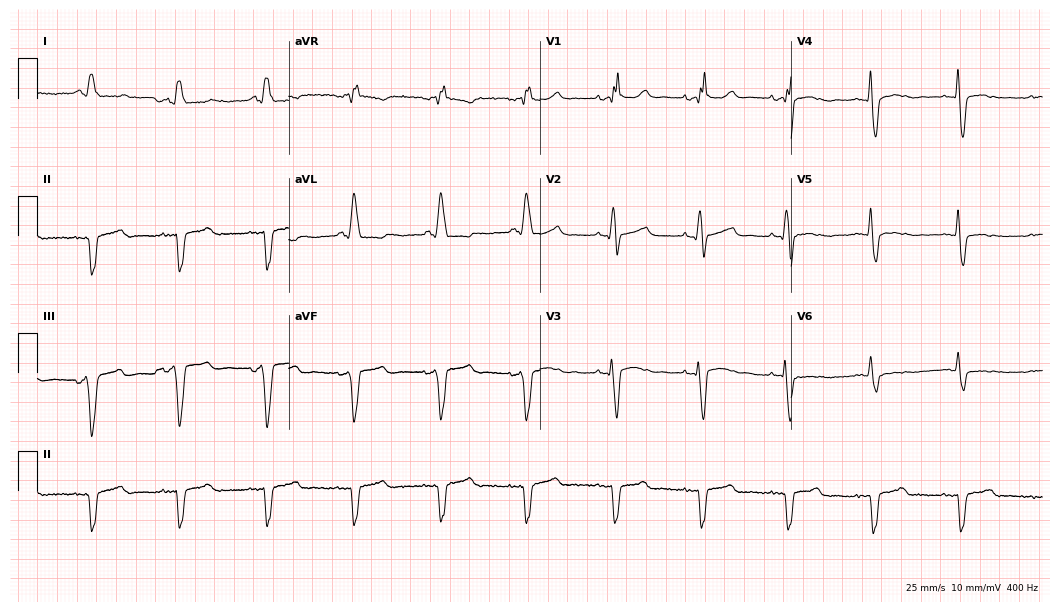
Resting 12-lead electrocardiogram. Patient: a 65-year-old male. The tracing shows right bundle branch block (RBBB).